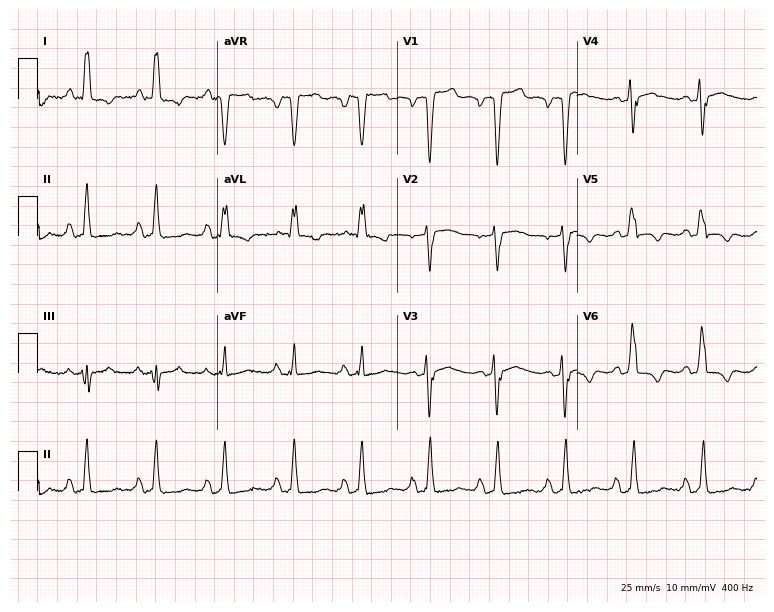
12-lead ECG (7.3-second recording at 400 Hz) from a male patient, 59 years old. Screened for six findings — first-degree AV block, right bundle branch block, left bundle branch block, sinus bradycardia, atrial fibrillation, sinus tachycardia — none is recorded.